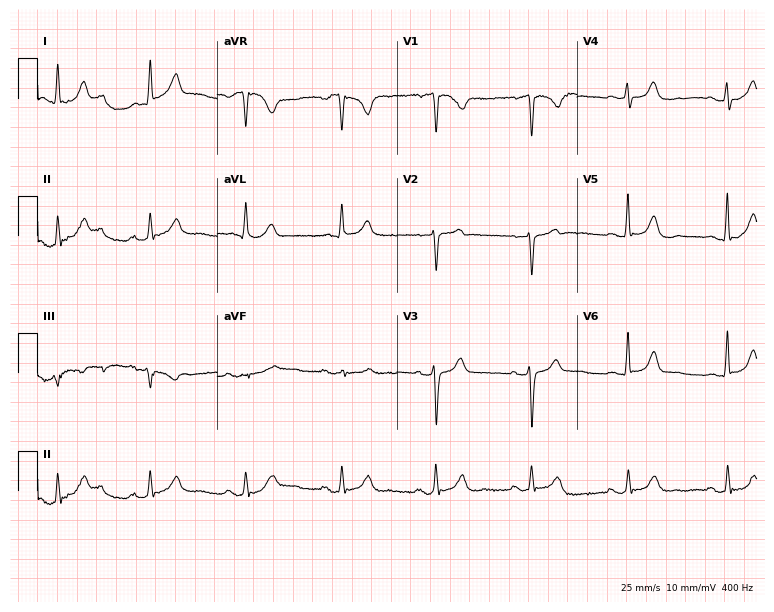
12-lead ECG from an 83-year-old female (7.3-second recording at 400 Hz). No first-degree AV block, right bundle branch block, left bundle branch block, sinus bradycardia, atrial fibrillation or sinus tachycardia recorded for this tracing.